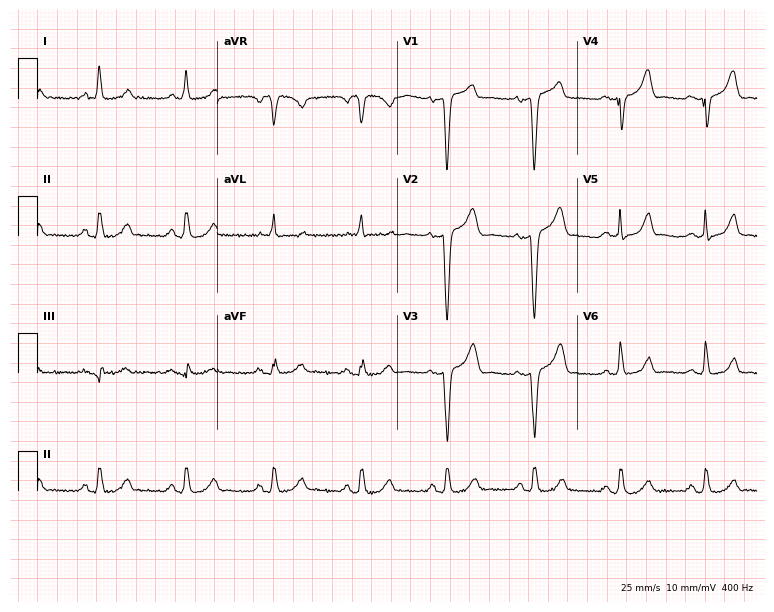
Electrocardiogram (7.3-second recording at 400 Hz), a female, 60 years old. Overall reading on record: normal ECG.